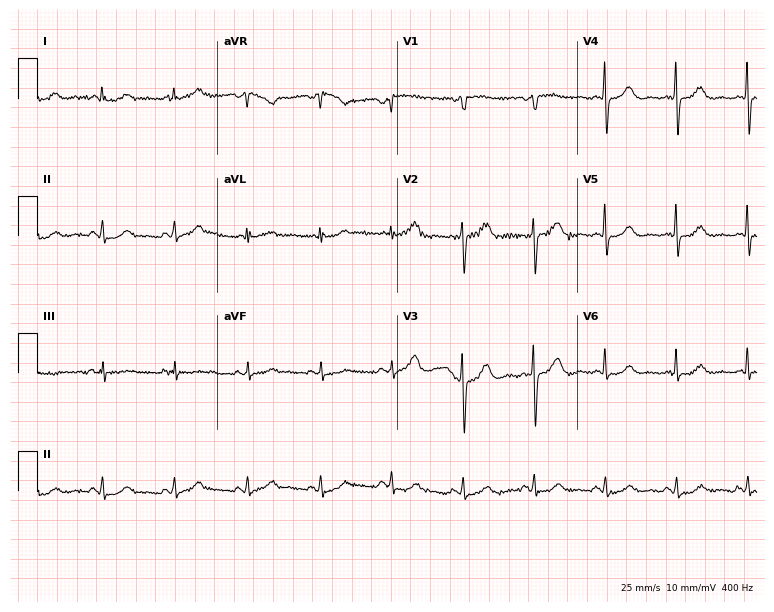
12-lead ECG from a 65-year-old woman (7.3-second recording at 400 Hz). No first-degree AV block, right bundle branch block, left bundle branch block, sinus bradycardia, atrial fibrillation or sinus tachycardia recorded for this tracing. Findings outside these six are not listed.